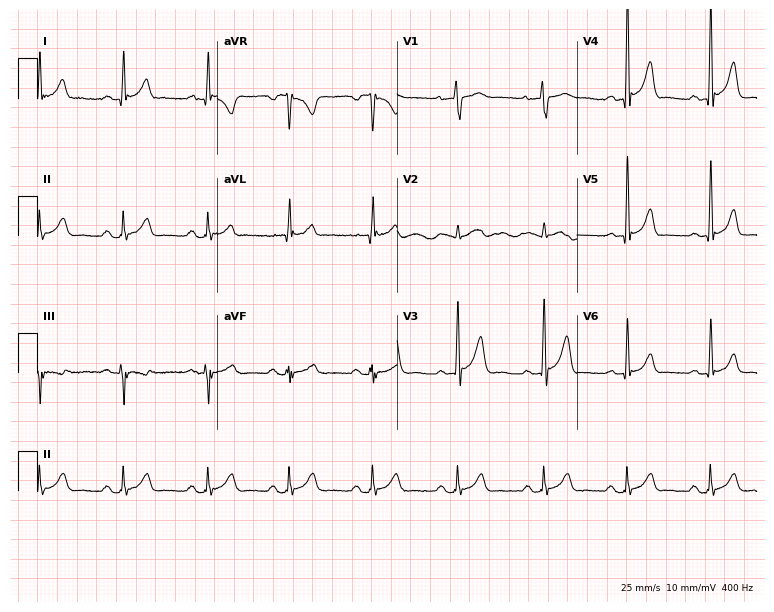
Electrocardiogram, a male patient, 49 years old. Overall reading on record: normal ECG.